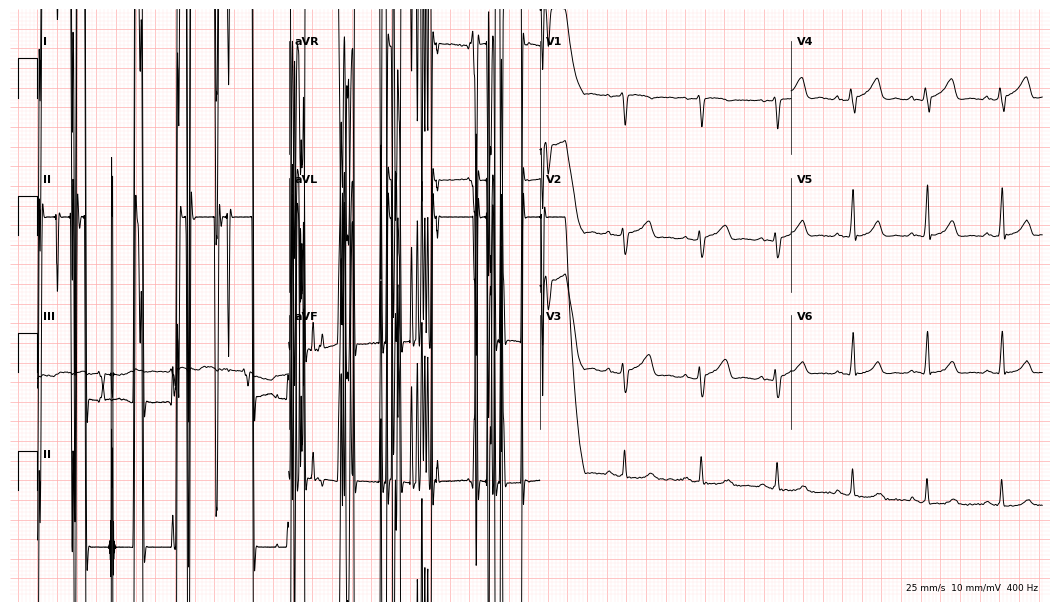
12-lead ECG from a female, 40 years old (10.2-second recording at 400 Hz). No first-degree AV block, right bundle branch block, left bundle branch block, sinus bradycardia, atrial fibrillation or sinus tachycardia recorded for this tracing.